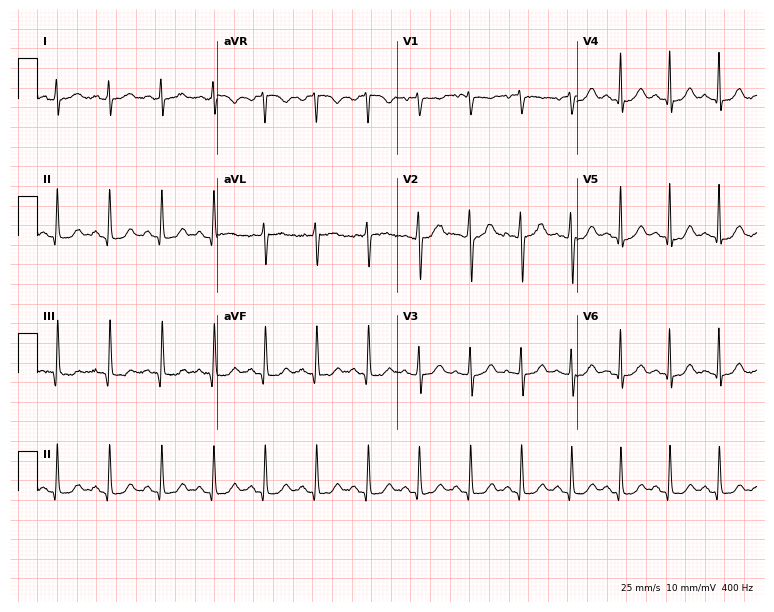
12-lead ECG (7.3-second recording at 400 Hz) from a woman, 38 years old. Findings include sinus tachycardia (a sinus rate of 100 beats per minute or more).